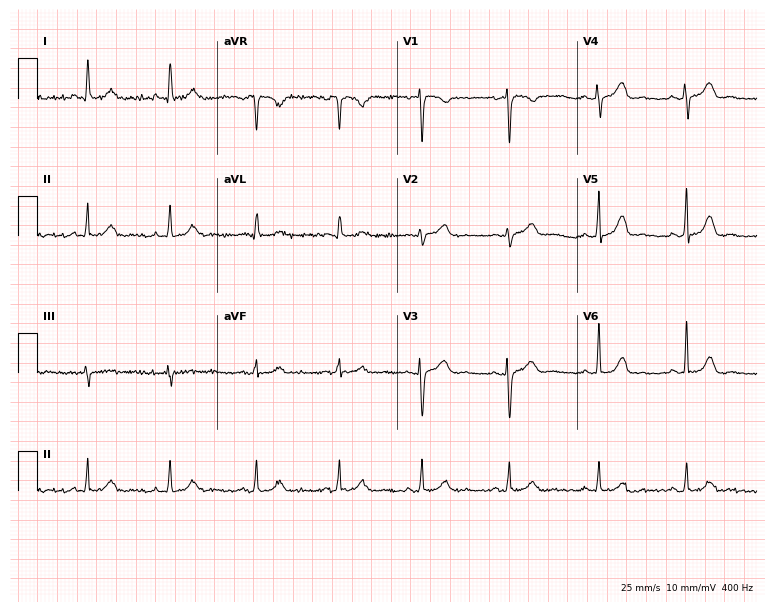
12-lead ECG from a woman, 60 years old (7.3-second recording at 400 Hz). Recorded interpretation: within normal limits.